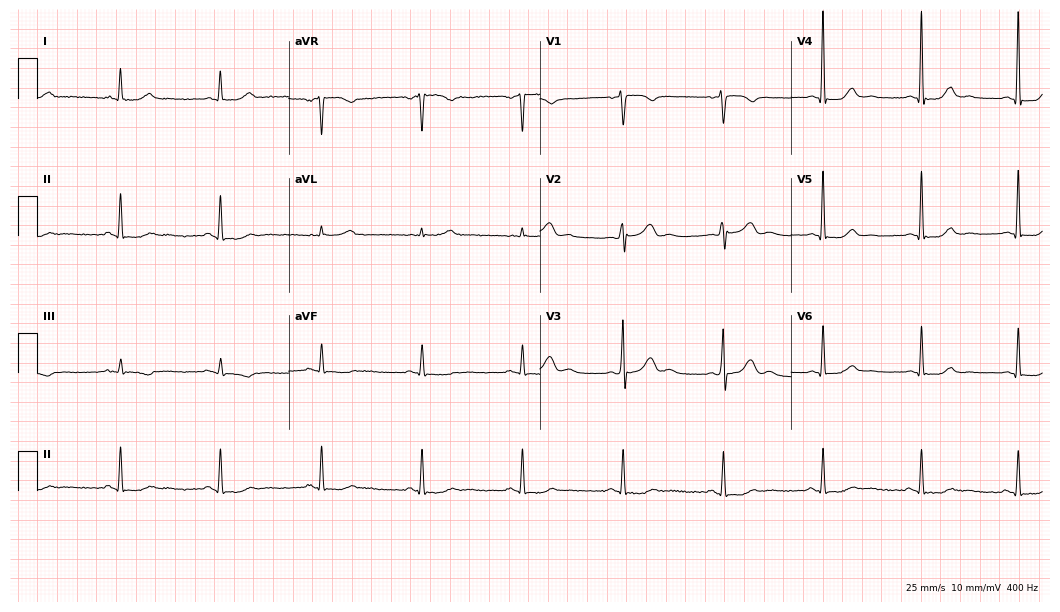
ECG (10.2-second recording at 400 Hz) — a female patient, 65 years old. Labelled as a normal ECG.